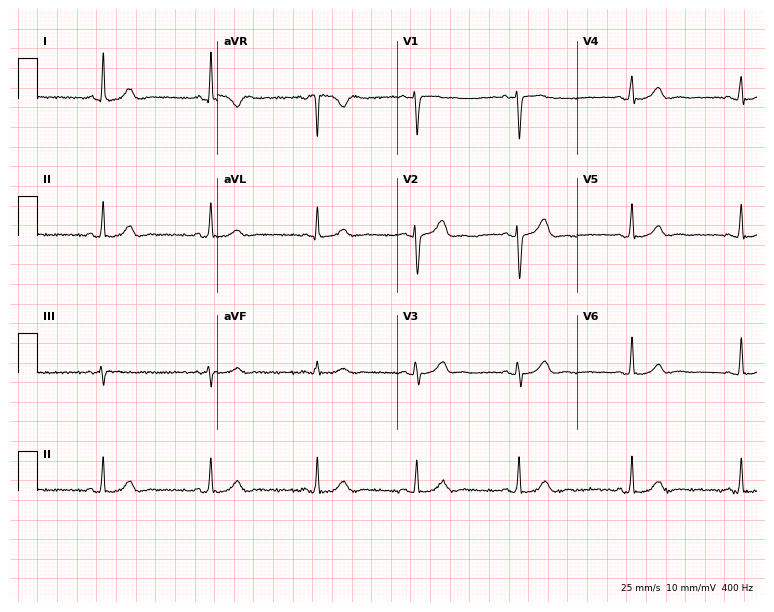
12-lead ECG (7.3-second recording at 400 Hz) from a woman, 27 years old. Labelled as a normal ECG.